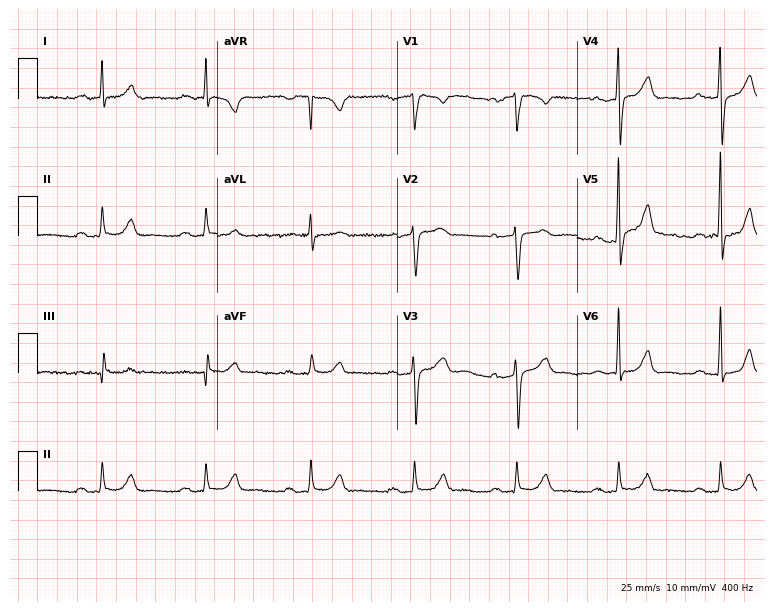
12-lead ECG from a man, 70 years old (7.3-second recording at 400 Hz). Shows first-degree AV block.